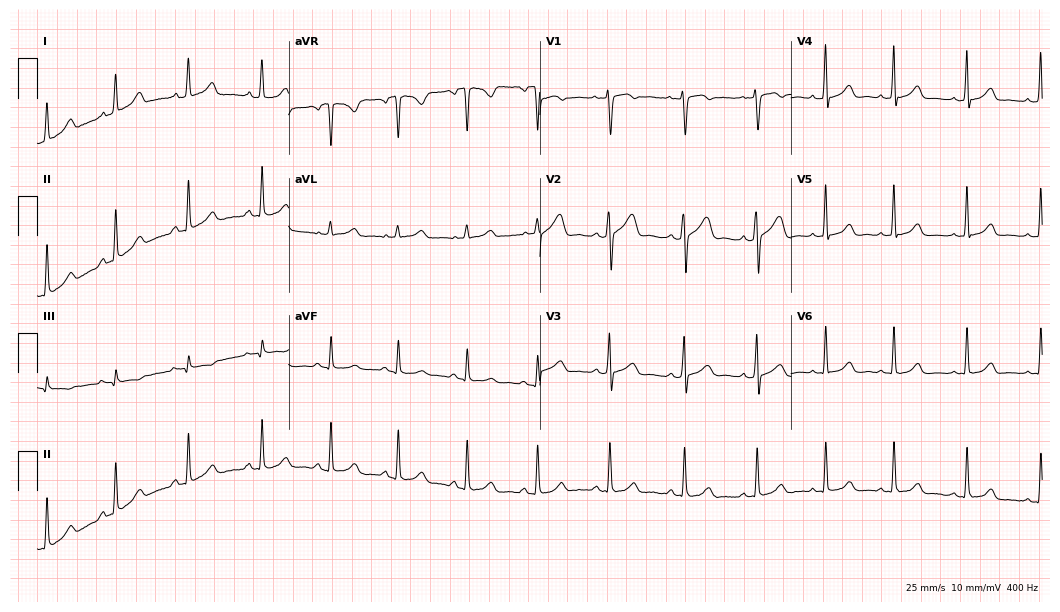
Electrocardiogram, a 23-year-old female. Overall reading on record: normal ECG.